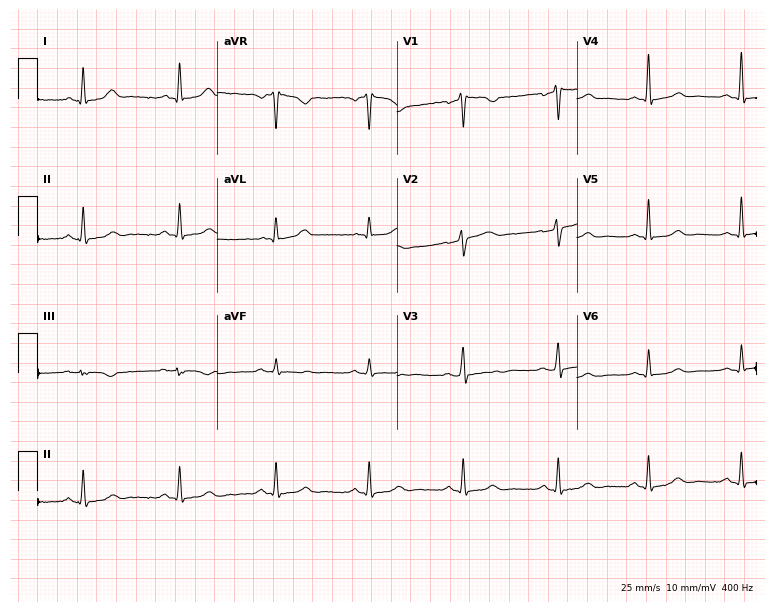
Electrocardiogram (7.3-second recording at 400 Hz), a female, 41 years old. Of the six screened findings (first-degree AV block, right bundle branch block, left bundle branch block, sinus bradycardia, atrial fibrillation, sinus tachycardia), none is recorded. Findings outside these six are not listed.